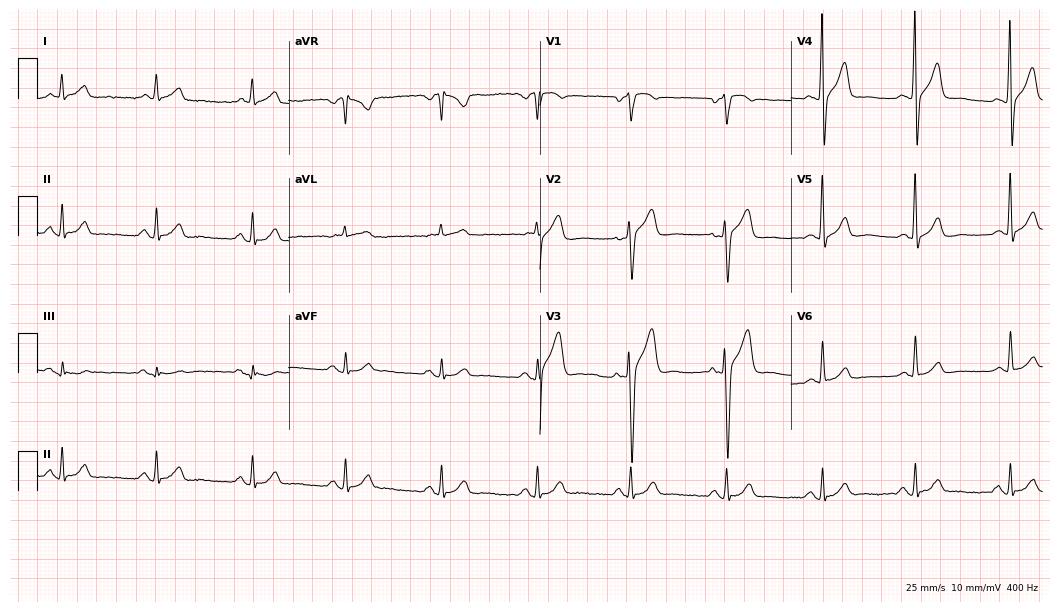
Resting 12-lead electrocardiogram (10.2-second recording at 400 Hz). Patient: a man, 55 years old. Read as a normal ECG.